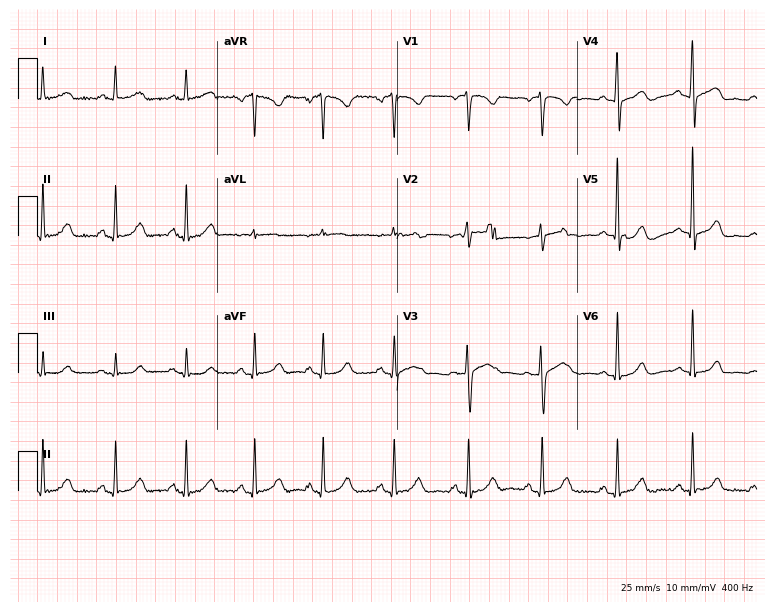
12-lead ECG (7.3-second recording at 400 Hz) from a woman, 54 years old. Labelled as a normal ECG.